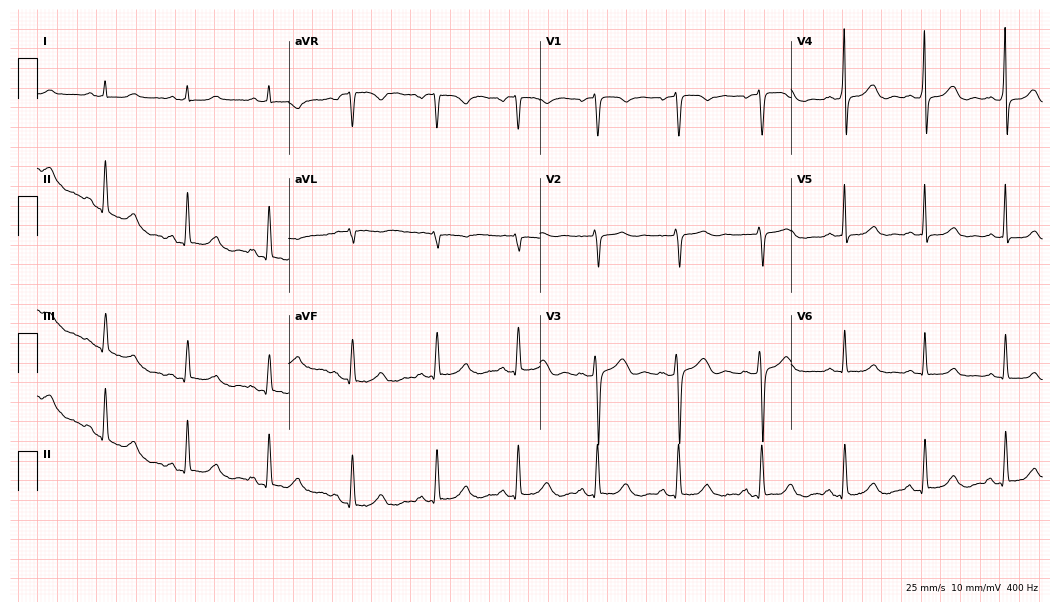
Resting 12-lead electrocardiogram. Patient: a female, 43 years old. None of these six findings is recorded: first-degree AV block, right bundle branch block, left bundle branch block, sinus bradycardia, atrial fibrillation, sinus tachycardia.